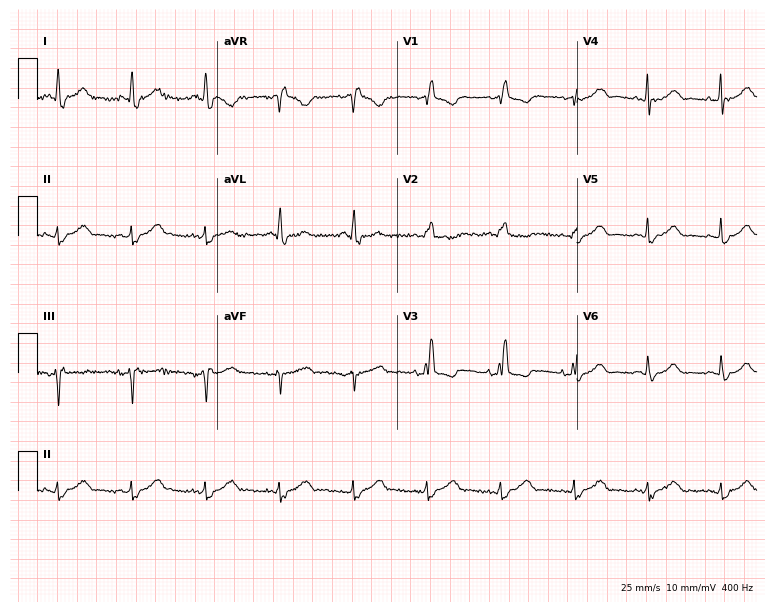
ECG — a female patient, 73 years old. Findings include right bundle branch block.